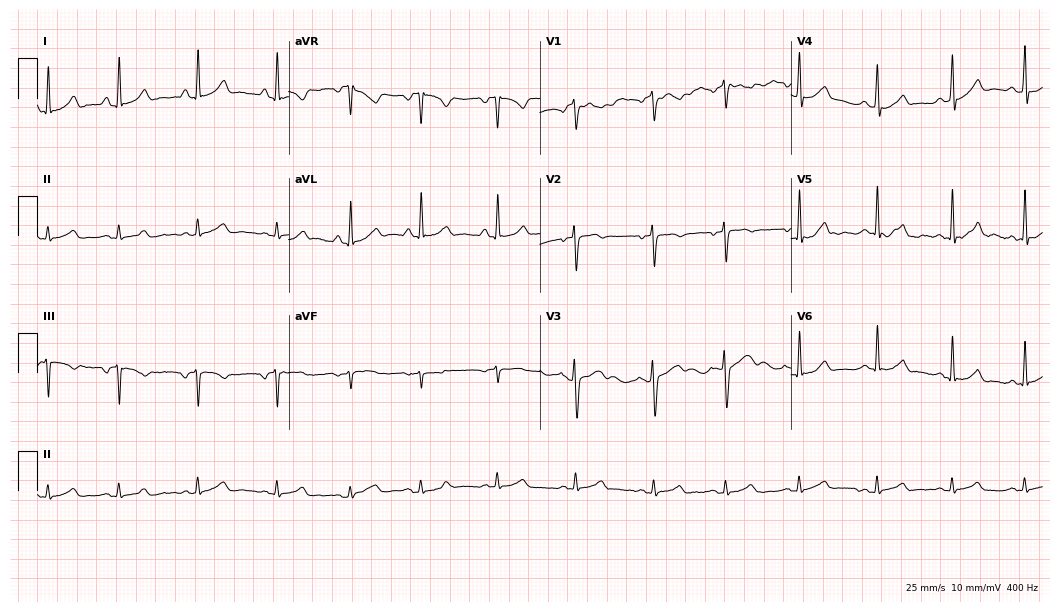
12-lead ECG from a female patient, 23 years old (10.2-second recording at 400 Hz). Recorded interpretation: within normal limits.